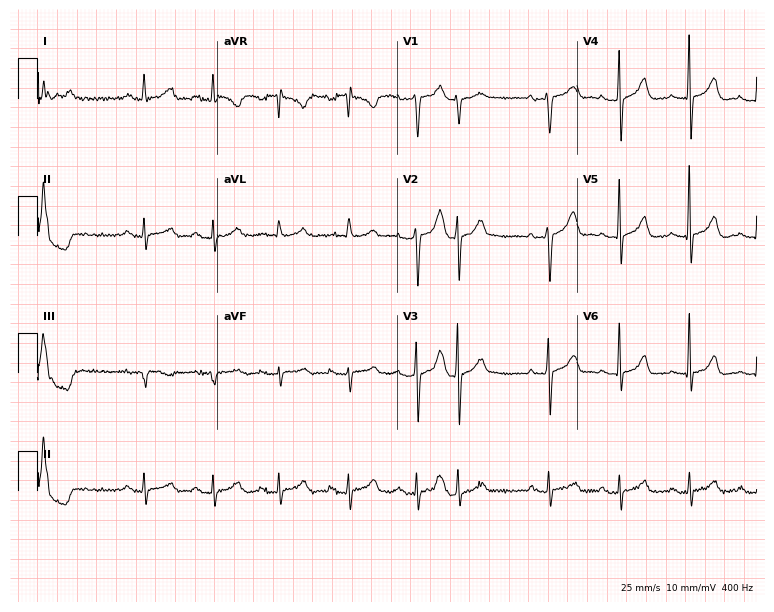
Standard 12-lead ECG recorded from a female patient, 62 years old (7.3-second recording at 400 Hz). None of these six findings is recorded: first-degree AV block, right bundle branch block (RBBB), left bundle branch block (LBBB), sinus bradycardia, atrial fibrillation (AF), sinus tachycardia.